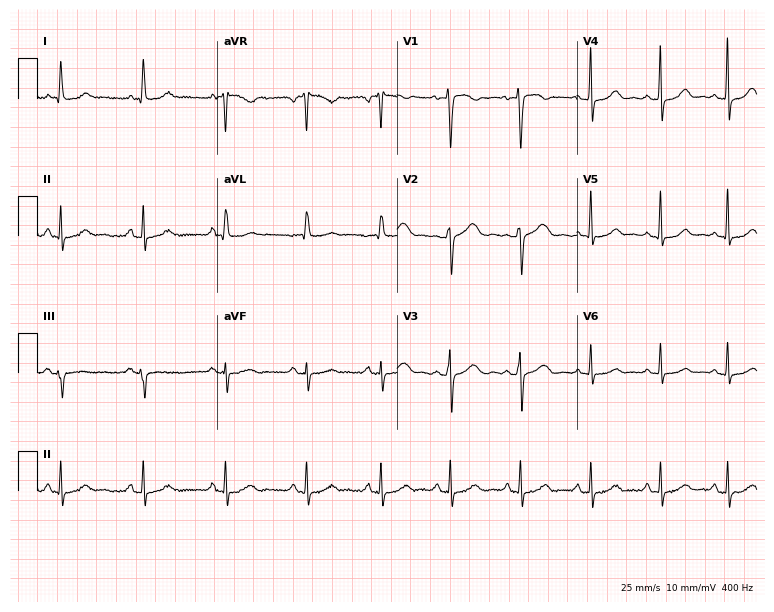
Resting 12-lead electrocardiogram. Patient: a 39-year-old female. None of these six findings is recorded: first-degree AV block, right bundle branch block, left bundle branch block, sinus bradycardia, atrial fibrillation, sinus tachycardia.